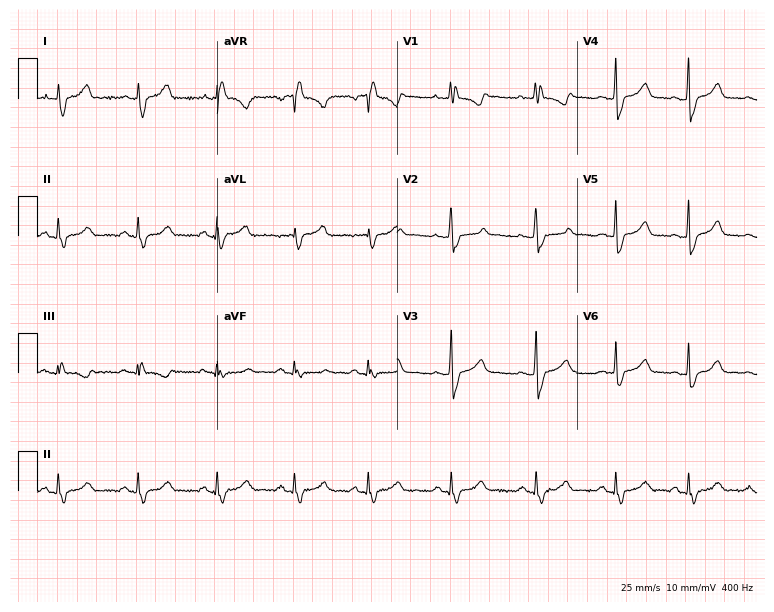
Resting 12-lead electrocardiogram (7.3-second recording at 400 Hz). Patient: a woman, 25 years old. The tracing shows right bundle branch block.